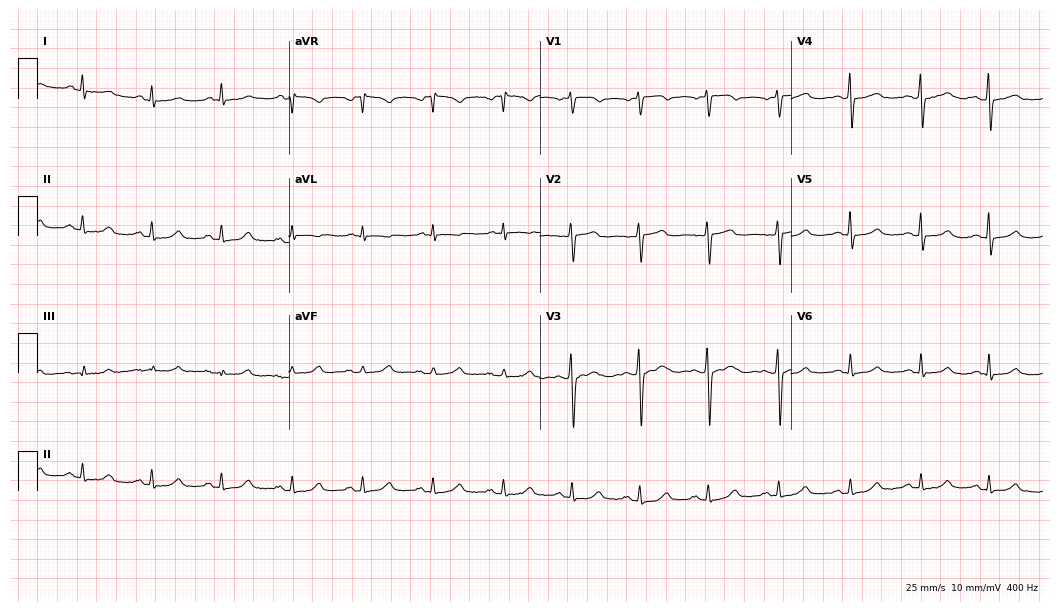
12-lead ECG from a 57-year-old female (10.2-second recording at 400 Hz). Recorded interpretation: within normal limits.